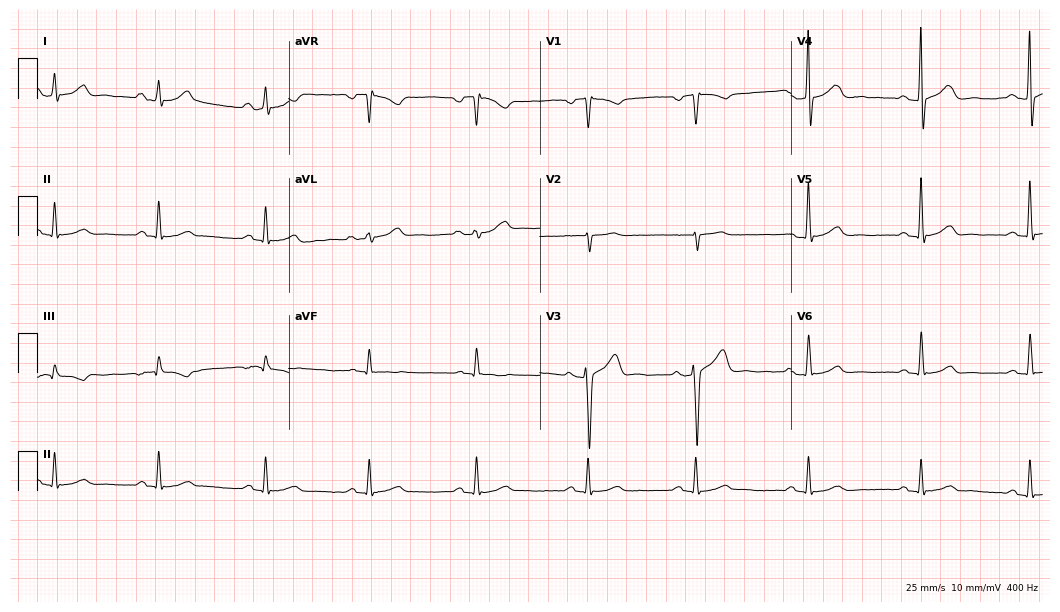
Electrocardiogram (10.2-second recording at 400 Hz), a 59-year-old man. Overall reading on record: normal ECG.